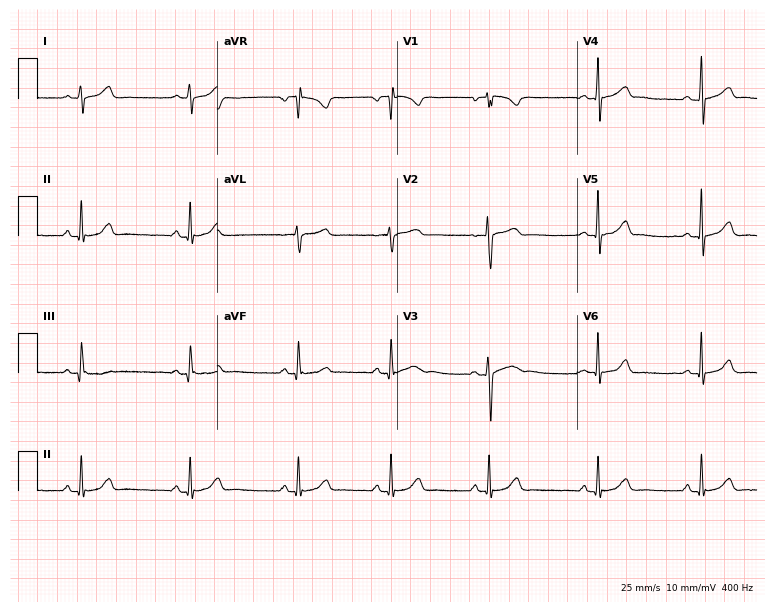
ECG — a female patient, 24 years old. Labelled as a normal ECG.